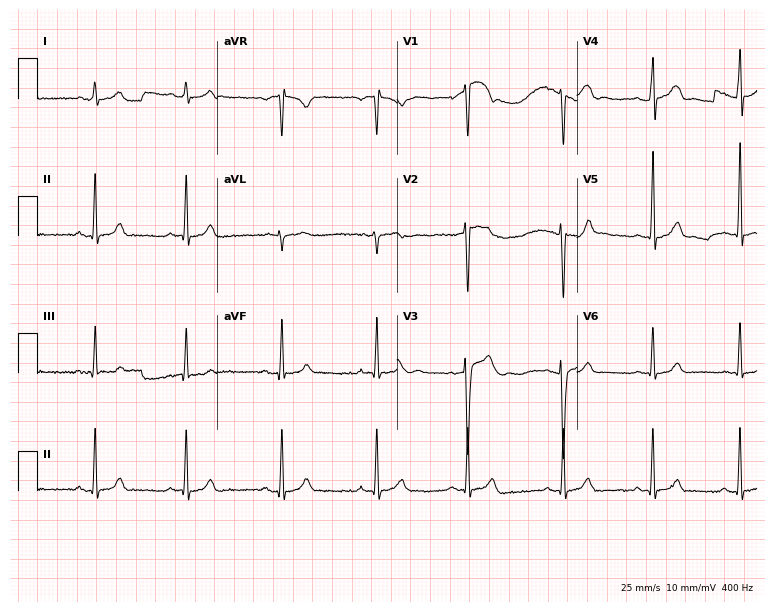
Electrocardiogram, a male, 18 years old. Overall reading on record: normal ECG.